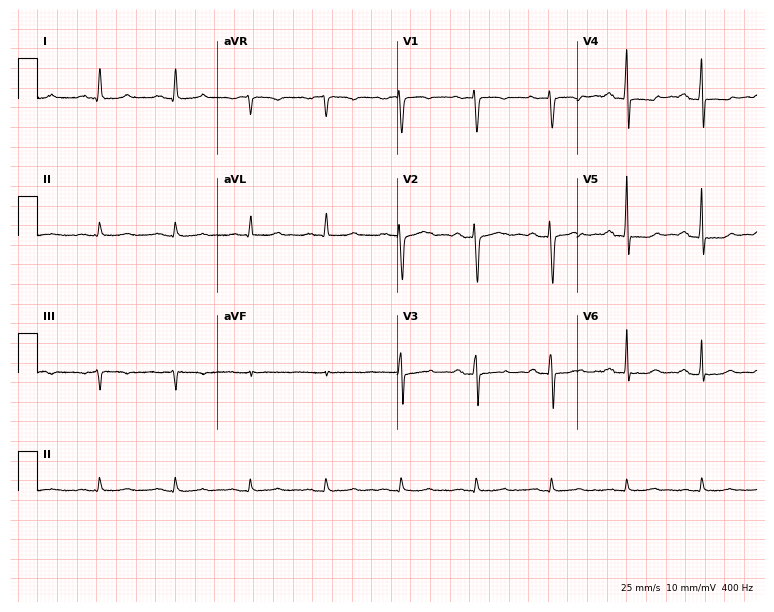
12-lead ECG from a 73-year-old woman (7.3-second recording at 400 Hz). No first-degree AV block, right bundle branch block (RBBB), left bundle branch block (LBBB), sinus bradycardia, atrial fibrillation (AF) or sinus tachycardia recorded for this tracing.